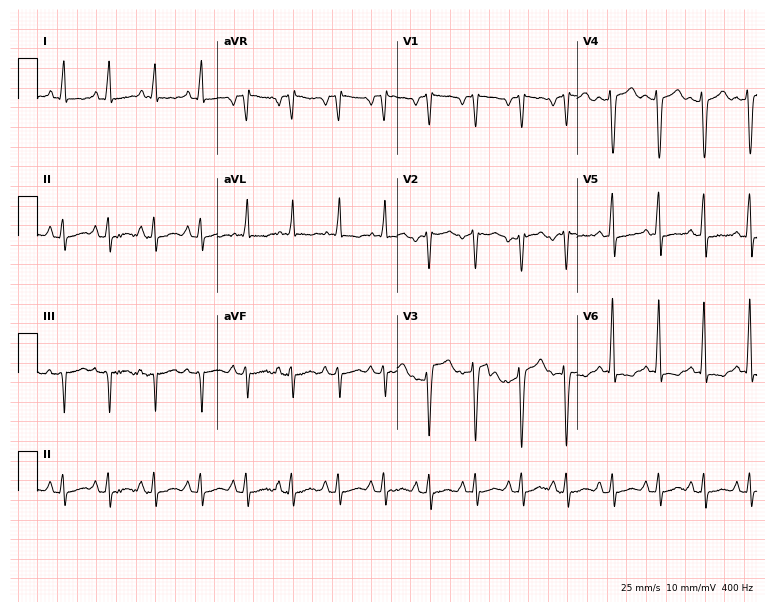
ECG (7.3-second recording at 400 Hz) — a 50-year-old woman. Findings include sinus tachycardia (a sinus rate of 100 beats per minute or more).